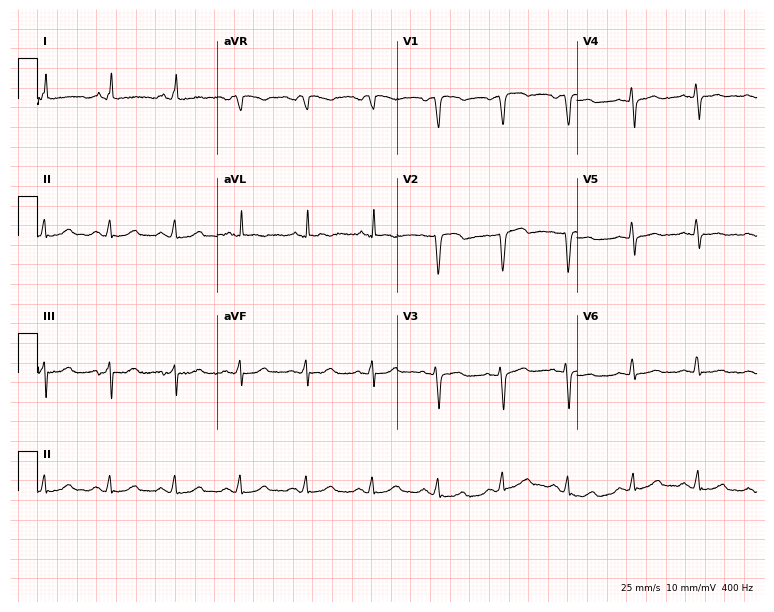
Standard 12-lead ECG recorded from a woman, 47 years old. None of these six findings is recorded: first-degree AV block, right bundle branch block, left bundle branch block, sinus bradycardia, atrial fibrillation, sinus tachycardia.